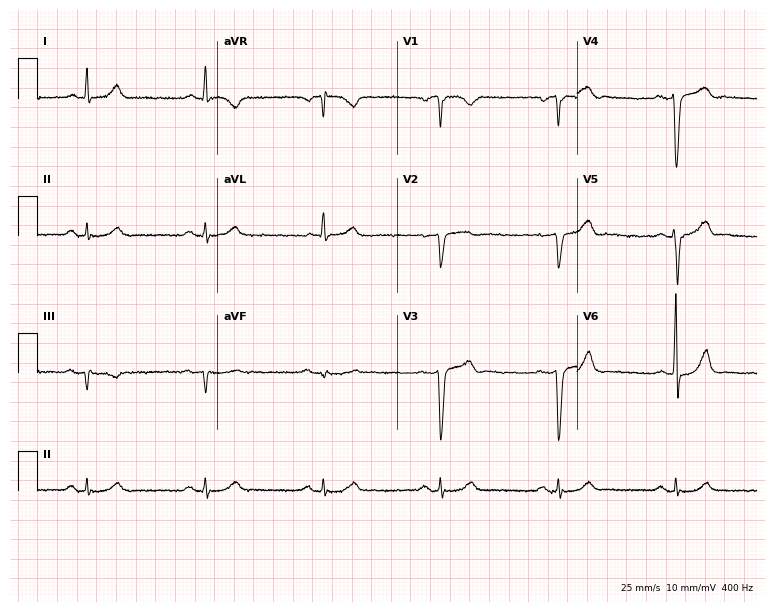
Electrocardiogram (7.3-second recording at 400 Hz), a man, 65 years old. Interpretation includes sinus bradycardia (a sinus rate of 50 beats per minute or less).